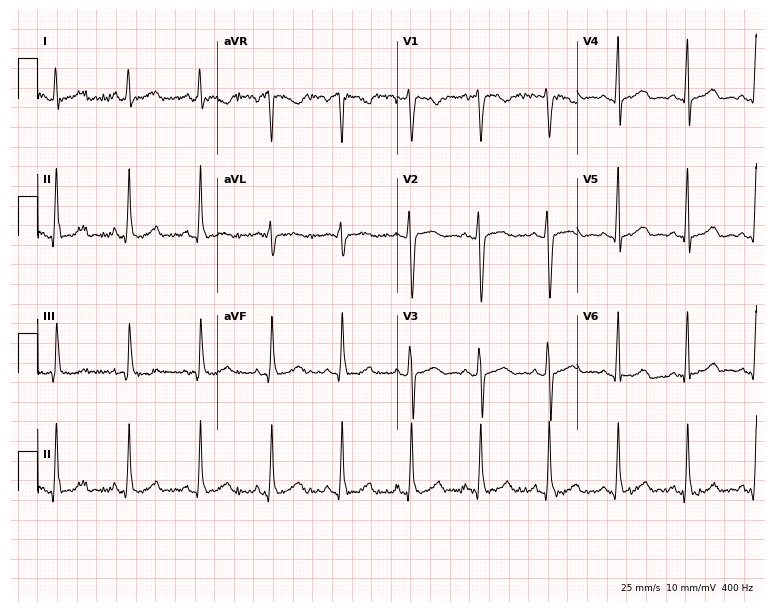
Resting 12-lead electrocardiogram. Patient: a female, 26 years old. Read as a normal ECG.